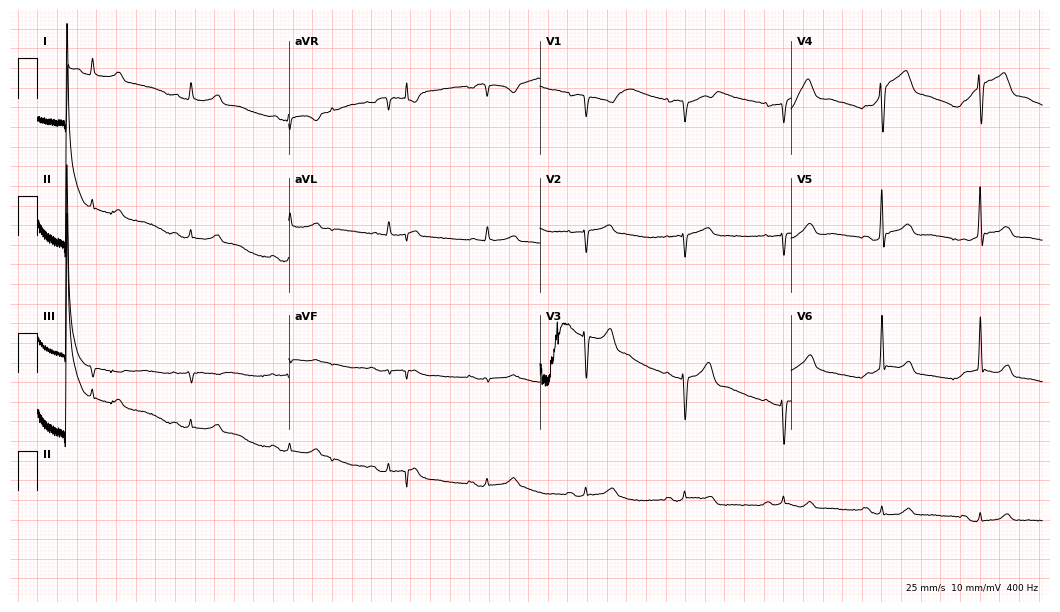
Resting 12-lead electrocardiogram. Patient: a female, 66 years old. None of these six findings is recorded: first-degree AV block, right bundle branch block, left bundle branch block, sinus bradycardia, atrial fibrillation, sinus tachycardia.